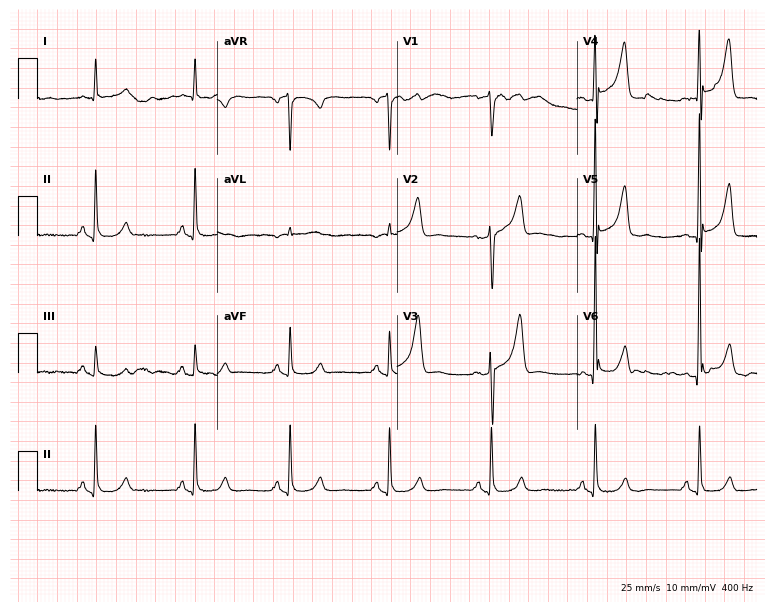
ECG (7.3-second recording at 400 Hz) — a male patient, 60 years old. Labelled as a normal ECG.